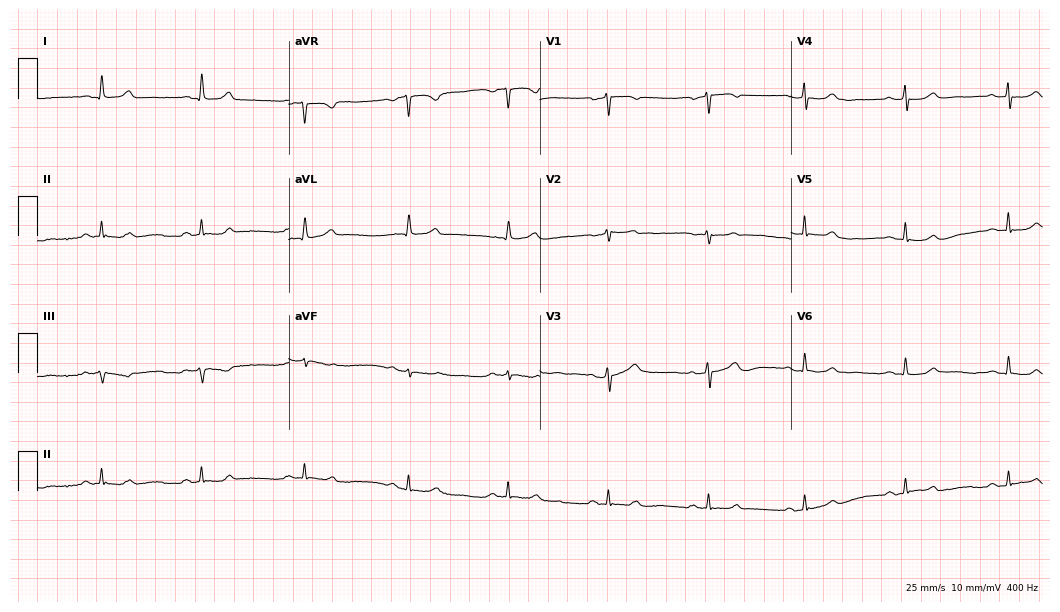
ECG — a 64-year-old woman. Labelled as a normal ECG.